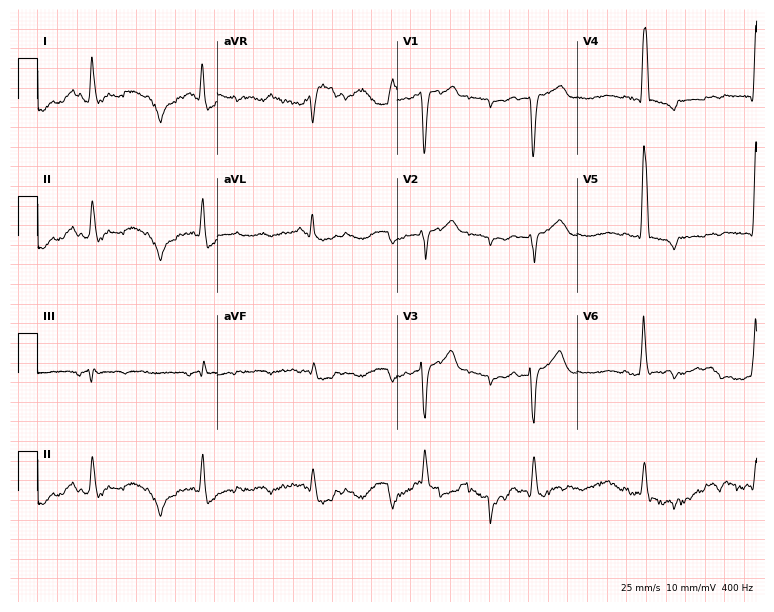
12-lead ECG from a man, 82 years old. No first-degree AV block, right bundle branch block (RBBB), left bundle branch block (LBBB), sinus bradycardia, atrial fibrillation (AF) or sinus tachycardia recorded for this tracing.